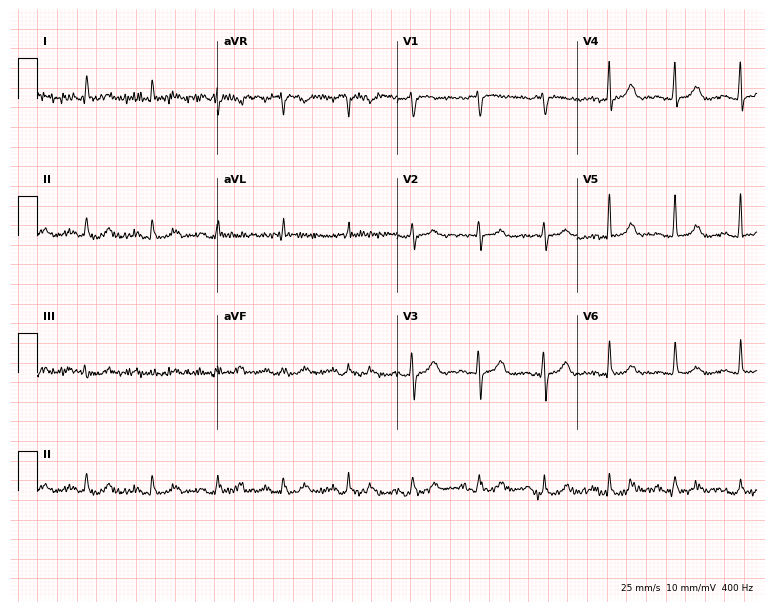
12-lead ECG from a 79-year-old male (7.3-second recording at 400 Hz). No first-degree AV block, right bundle branch block, left bundle branch block, sinus bradycardia, atrial fibrillation or sinus tachycardia recorded for this tracing. Findings outside these six are not listed.